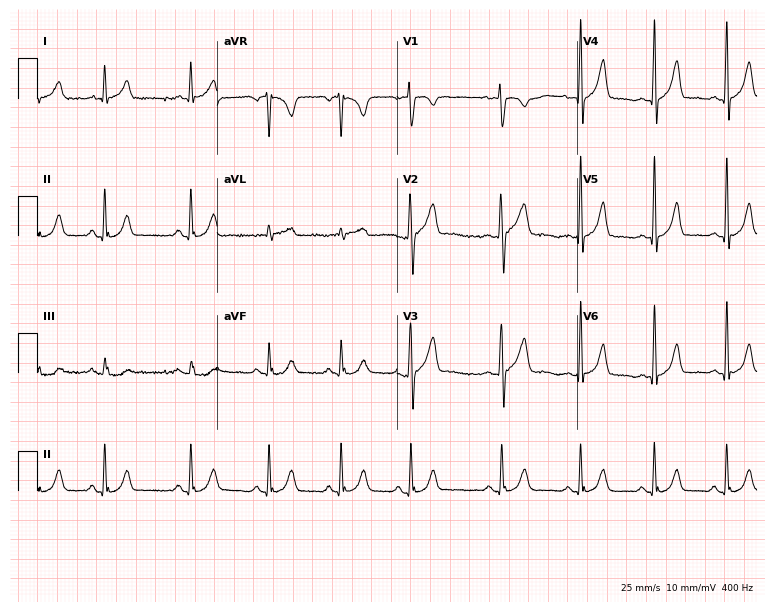
12-lead ECG from a female patient, 27 years old (7.3-second recording at 400 Hz). No first-degree AV block, right bundle branch block, left bundle branch block, sinus bradycardia, atrial fibrillation or sinus tachycardia recorded for this tracing.